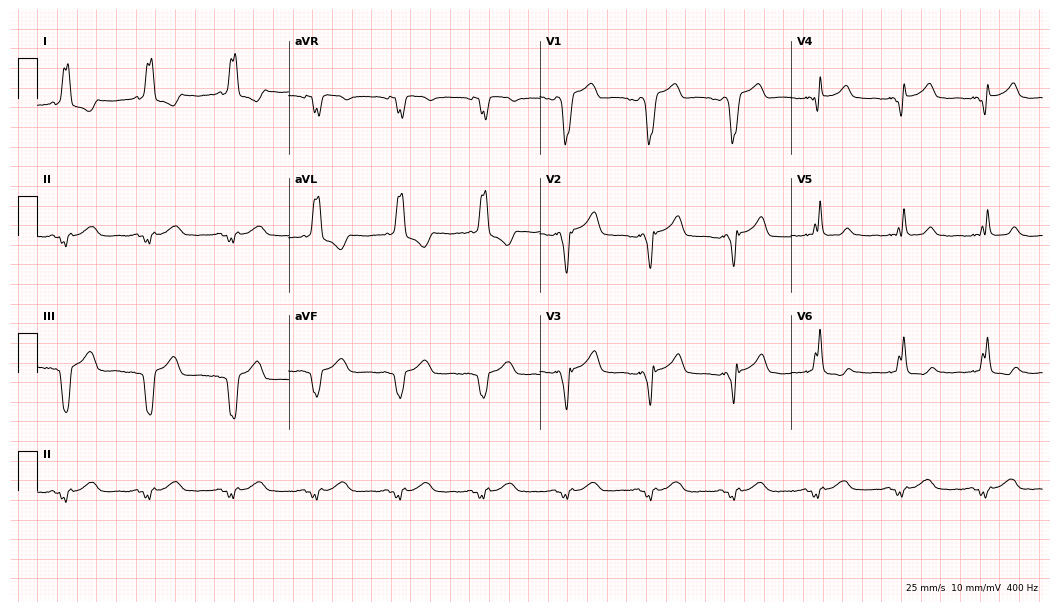
12-lead ECG from a 59-year-old woman. No first-degree AV block, right bundle branch block (RBBB), left bundle branch block (LBBB), sinus bradycardia, atrial fibrillation (AF) or sinus tachycardia recorded for this tracing.